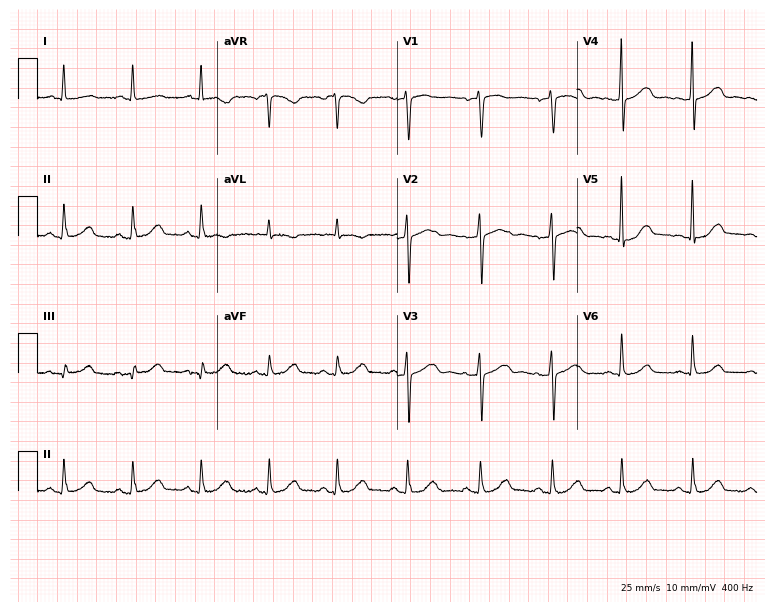
12-lead ECG from a 53-year-old woman. Labelled as a normal ECG.